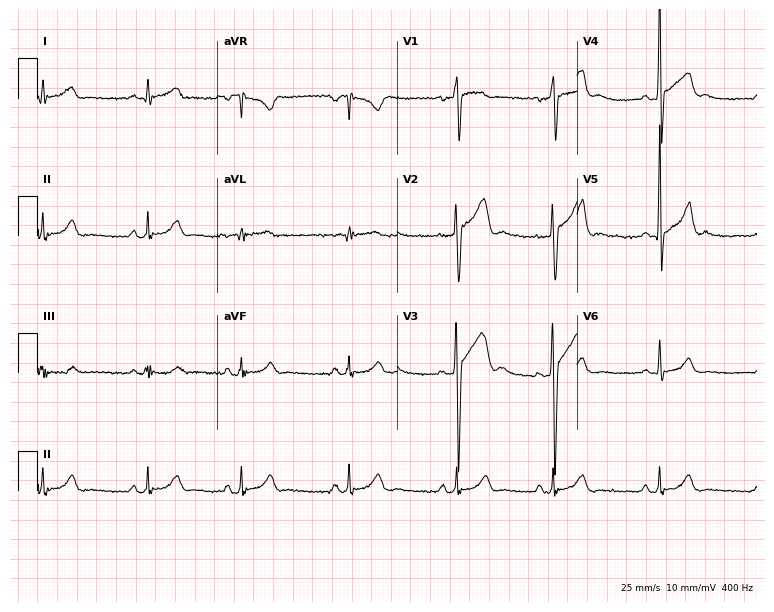
Resting 12-lead electrocardiogram. Patient: a 17-year-old male. Read as a normal ECG.